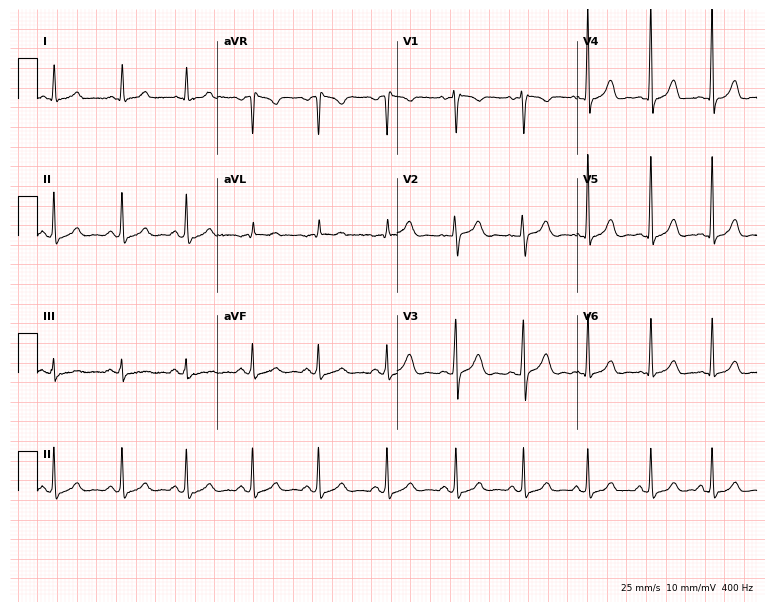
12-lead ECG from a 39-year-old female. No first-degree AV block, right bundle branch block, left bundle branch block, sinus bradycardia, atrial fibrillation or sinus tachycardia recorded for this tracing.